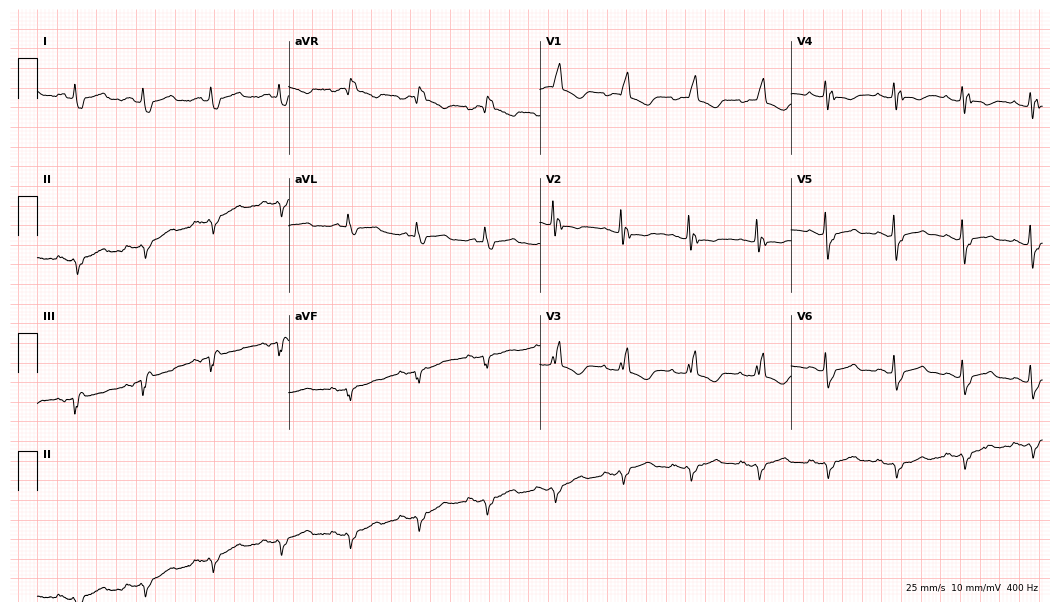
12-lead ECG (10.2-second recording at 400 Hz) from a female, 78 years old. Findings include right bundle branch block.